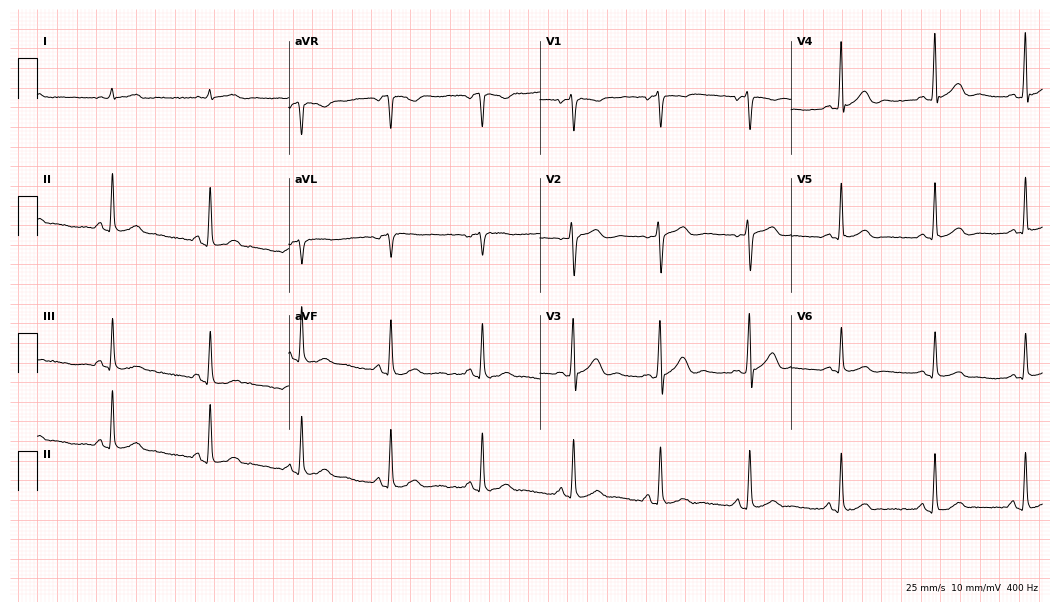
ECG (10.2-second recording at 400 Hz) — a female, 19 years old. Screened for six findings — first-degree AV block, right bundle branch block, left bundle branch block, sinus bradycardia, atrial fibrillation, sinus tachycardia — none is recorded. Only these six findings were labelled.